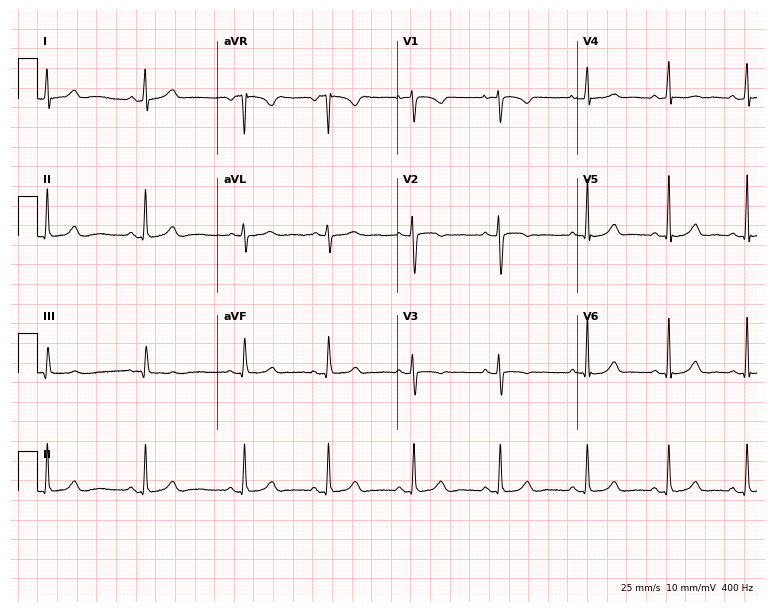
12-lead ECG from a woman, 26 years old. Labelled as a normal ECG.